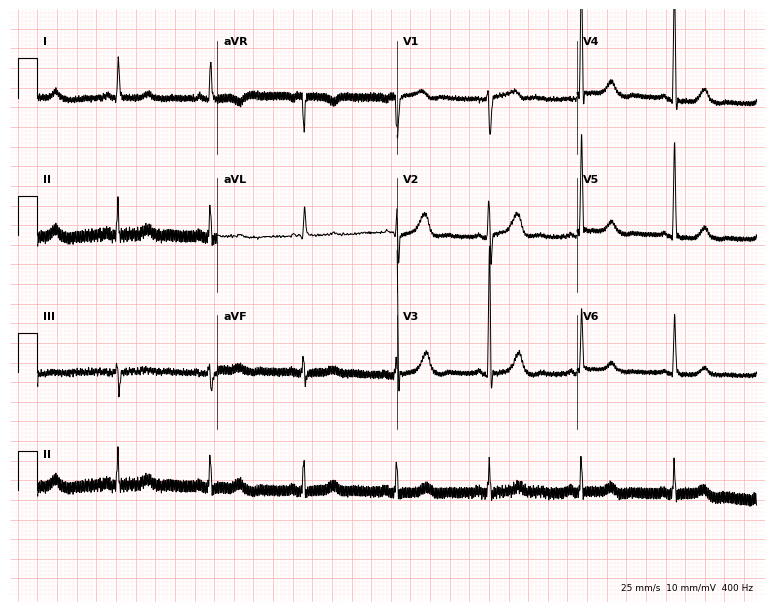
Standard 12-lead ECG recorded from a female patient, 79 years old (7.3-second recording at 400 Hz). None of these six findings is recorded: first-degree AV block, right bundle branch block (RBBB), left bundle branch block (LBBB), sinus bradycardia, atrial fibrillation (AF), sinus tachycardia. Only these six findings were labelled.